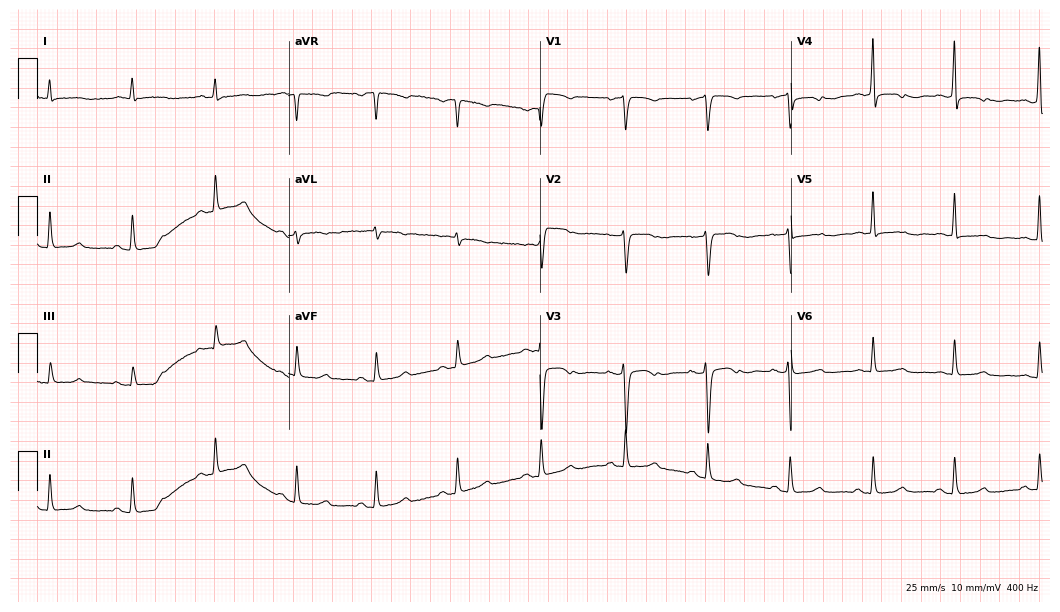
Resting 12-lead electrocardiogram. Patient: a 49-year-old female. None of these six findings is recorded: first-degree AV block, right bundle branch block (RBBB), left bundle branch block (LBBB), sinus bradycardia, atrial fibrillation (AF), sinus tachycardia.